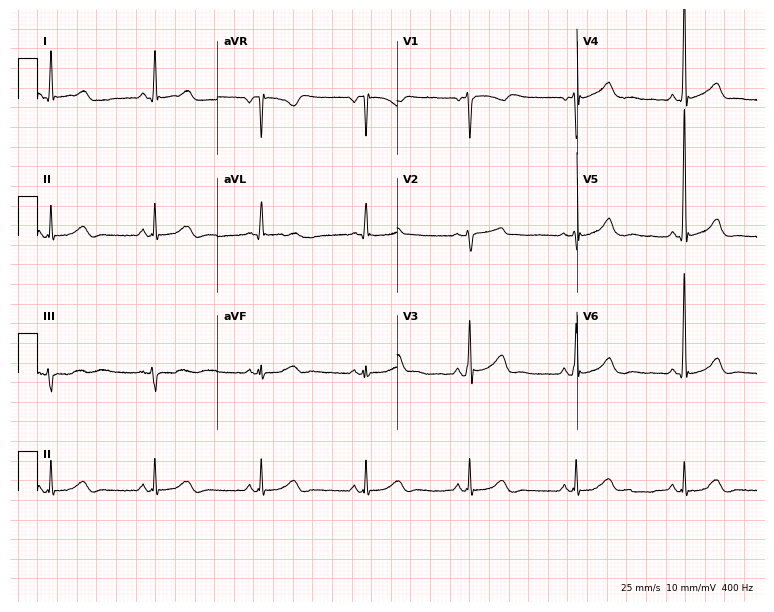
12-lead ECG from a male patient, 56 years old (7.3-second recording at 400 Hz). Recorded interpretation: within normal limits.